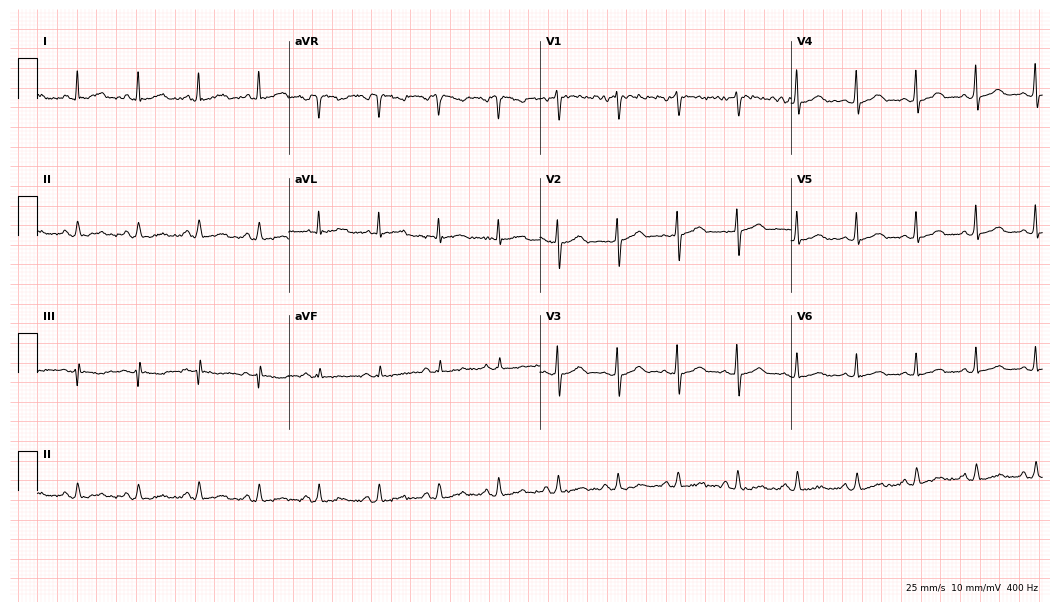
Resting 12-lead electrocardiogram. Patient: a 74-year-old woman. None of these six findings is recorded: first-degree AV block, right bundle branch block, left bundle branch block, sinus bradycardia, atrial fibrillation, sinus tachycardia. Other findings, if any, are not listed.